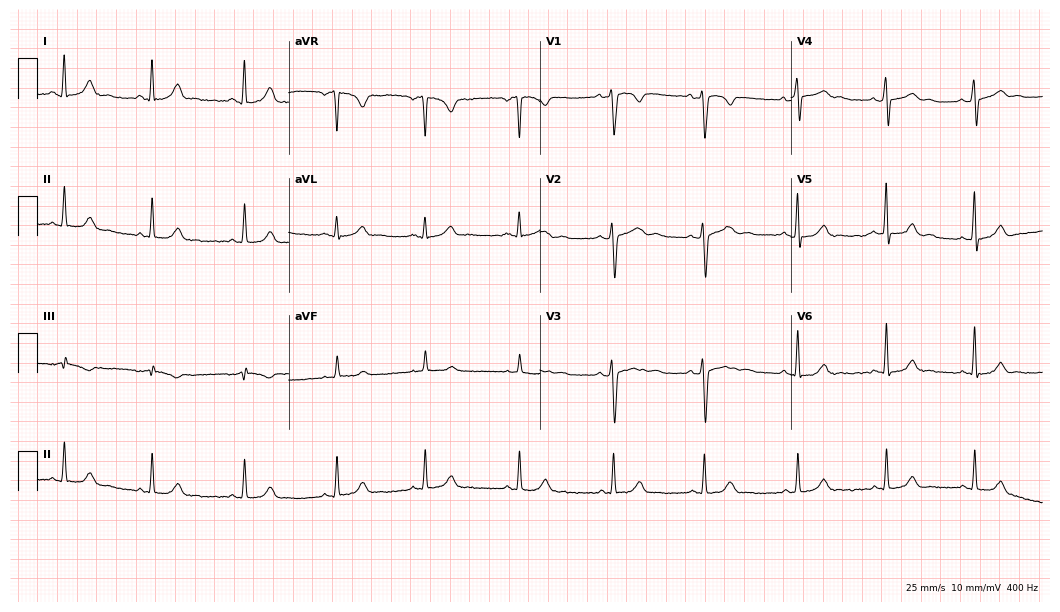
Electrocardiogram, a female, 27 years old. Overall reading on record: normal ECG.